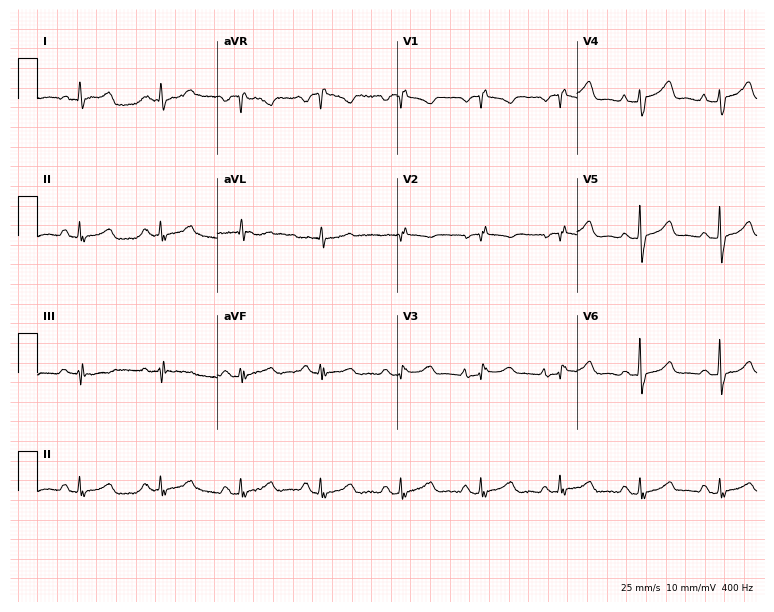
12-lead ECG from a female patient, 78 years old. Screened for six findings — first-degree AV block, right bundle branch block, left bundle branch block, sinus bradycardia, atrial fibrillation, sinus tachycardia — none is recorded.